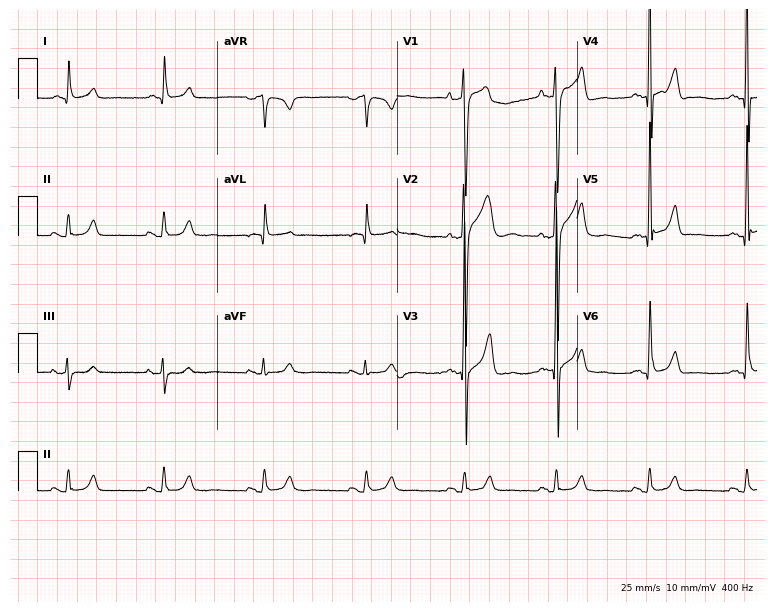
12-lead ECG from a 60-year-old man. Labelled as a normal ECG.